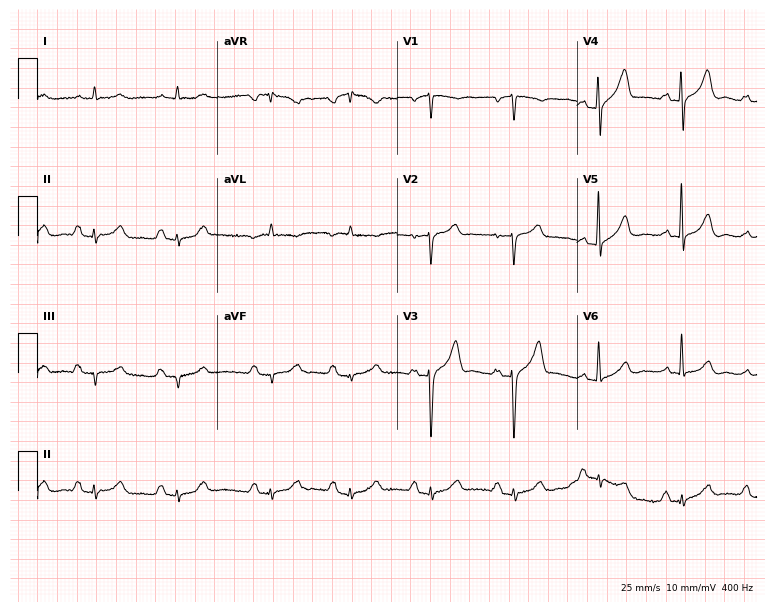
ECG — a male patient, 67 years old. Screened for six findings — first-degree AV block, right bundle branch block, left bundle branch block, sinus bradycardia, atrial fibrillation, sinus tachycardia — none is recorded.